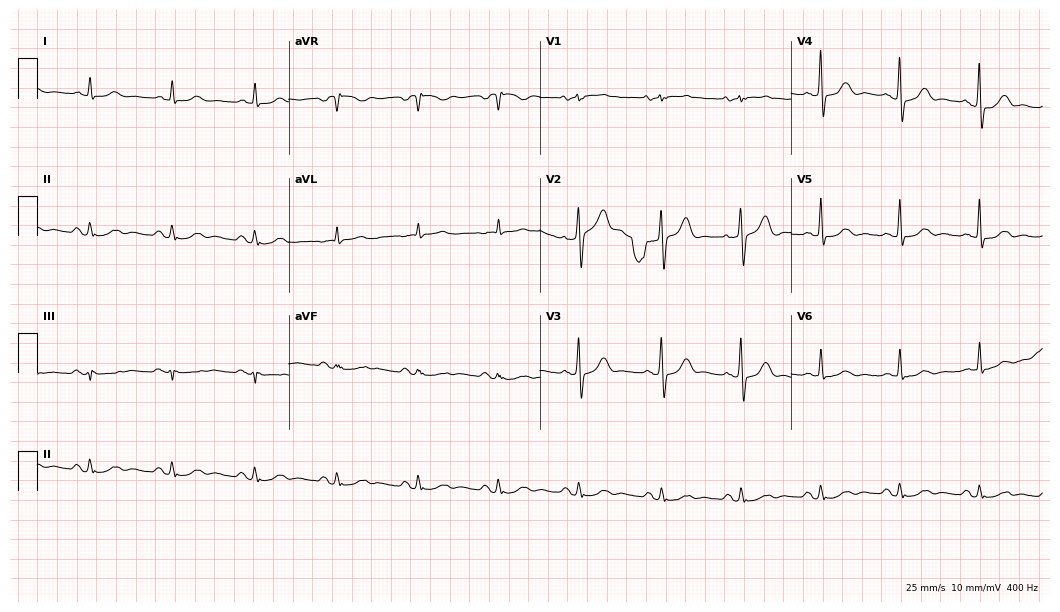
Standard 12-lead ECG recorded from an 80-year-old man (10.2-second recording at 400 Hz). None of these six findings is recorded: first-degree AV block, right bundle branch block, left bundle branch block, sinus bradycardia, atrial fibrillation, sinus tachycardia. Only these six findings were labelled.